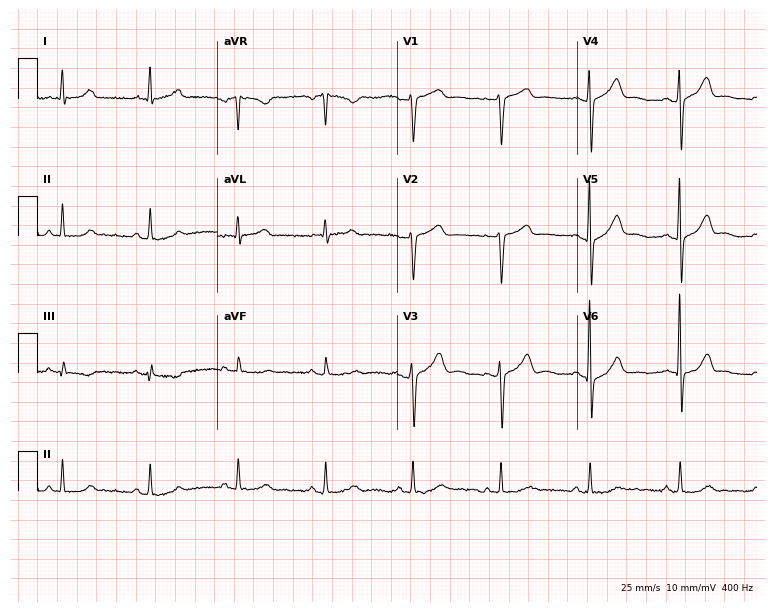
12-lead ECG from a male, 55 years old. Labelled as a normal ECG.